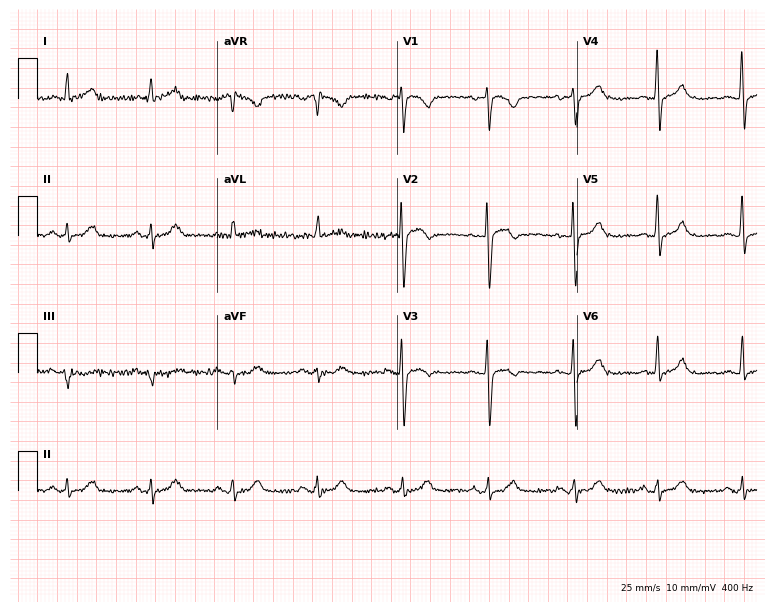
ECG — a 57-year-old woman. Screened for six findings — first-degree AV block, right bundle branch block, left bundle branch block, sinus bradycardia, atrial fibrillation, sinus tachycardia — none is recorded.